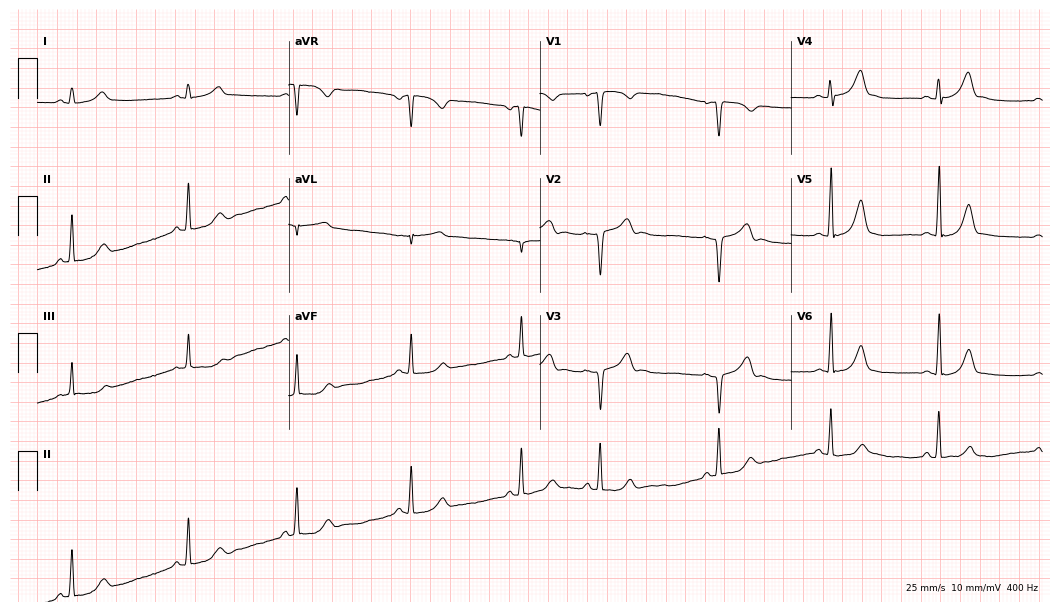
Resting 12-lead electrocardiogram (10.2-second recording at 400 Hz). Patient: a female, 20 years old. Read as a normal ECG.